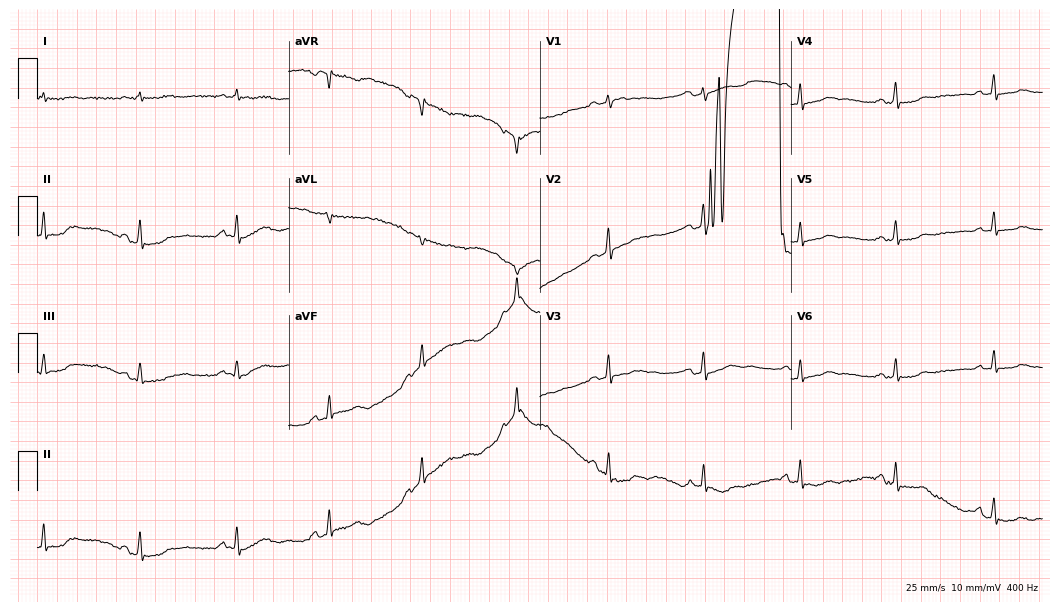
ECG (10.2-second recording at 400 Hz) — a 47-year-old female patient. Labelled as a normal ECG.